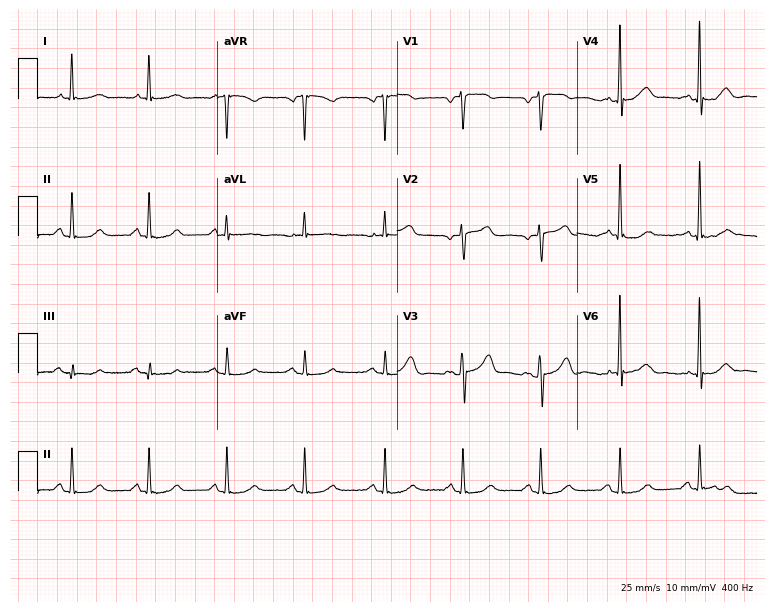
Electrocardiogram (7.3-second recording at 400 Hz), a female, 60 years old. Overall reading on record: normal ECG.